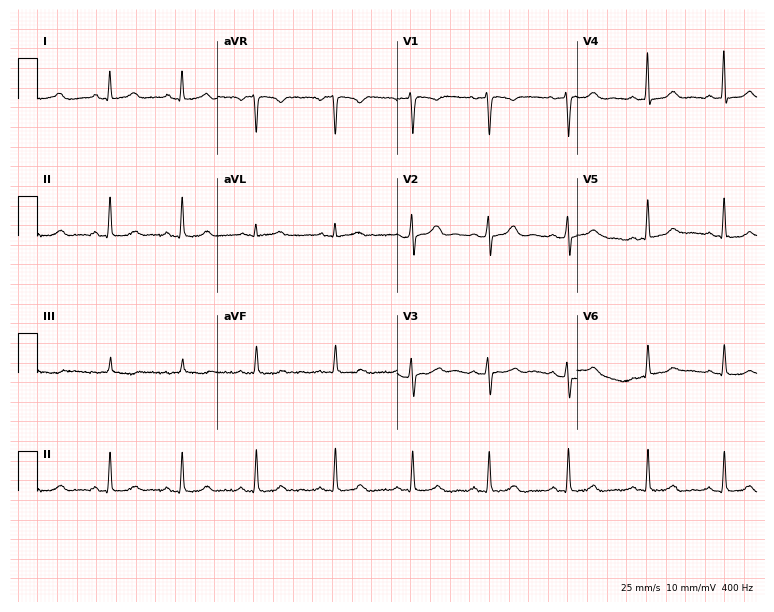
12-lead ECG from a 38-year-old woman. Screened for six findings — first-degree AV block, right bundle branch block, left bundle branch block, sinus bradycardia, atrial fibrillation, sinus tachycardia — none is recorded. Other findings, if any, are not listed.